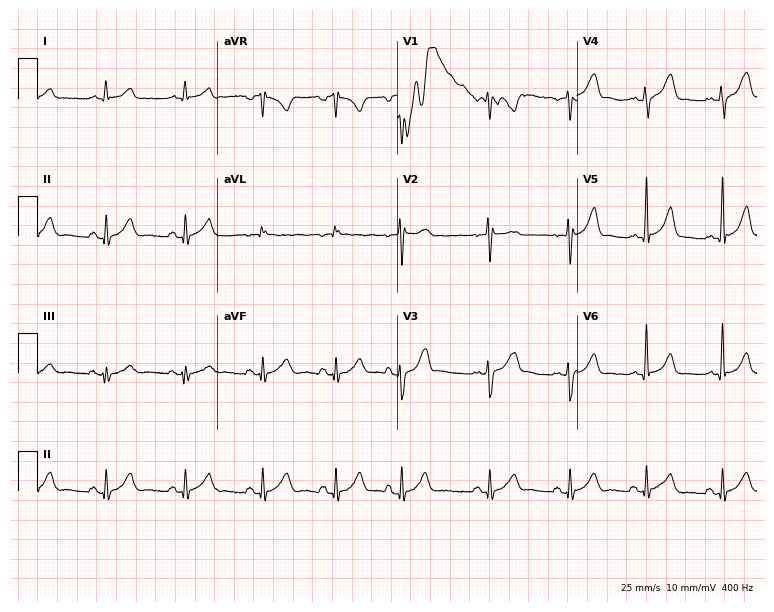
Standard 12-lead ECG recorded from a 23-year-old male (7.3-second recording at 400 Hz). None of these six findings is recorded: first-degree AV block, right bundle branch block (RBBB), left bundle branch block (LBBB), sinus bradycardia, atrial fibrillation (AF), sinus tachycardia.